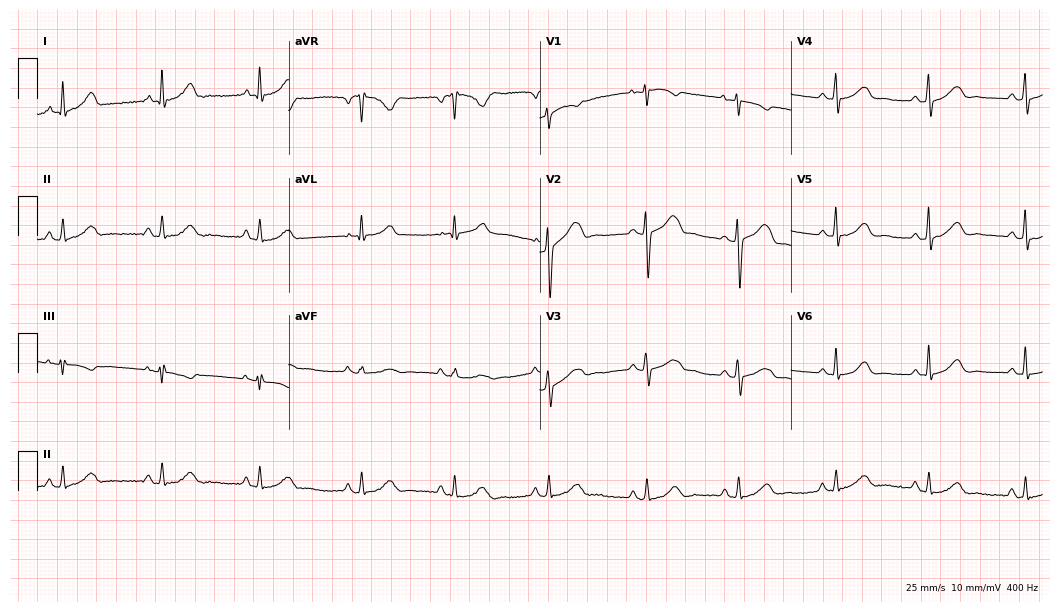
Electrocardiogram (10.2-second recording at 400 Hz), a female patient, 57 years old. Overall reading on record: normal ECG.